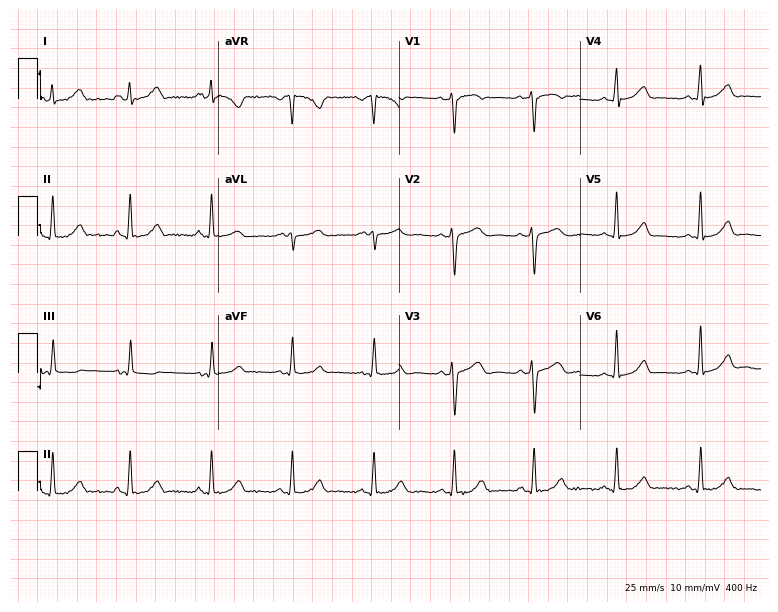
12-lead ECG (7.4-second recording at 400 Hz) from a female, 35 years old. Screened for six findings — first-degree AV block, right bundle branch block, left bundle branch block, sinus bradycardia, atrial fibrillation, sinus tachycardia — none is recorded. Findings outside these six are not listed.